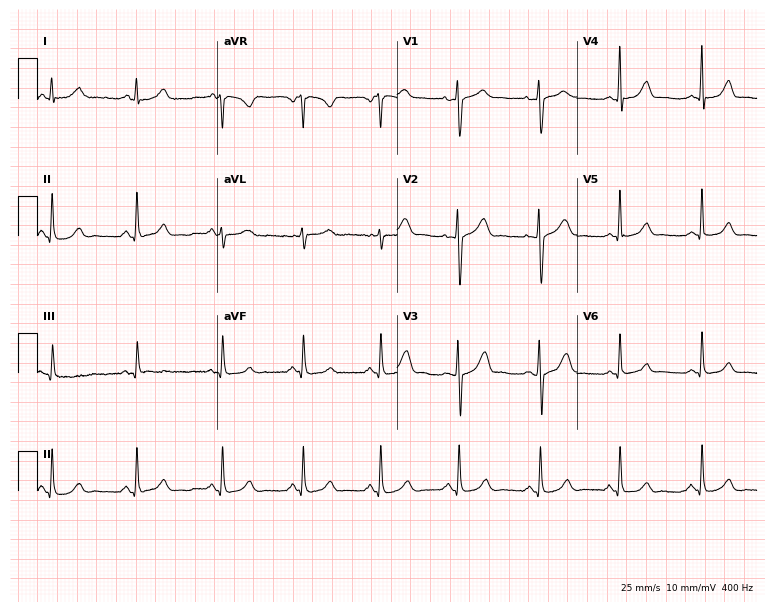
Standard 12-lead ECG recorded from a 34-year-old woman. None of these six findings is recorded: first-degree AV block, right bundle branch block (RBBB), left bundle branch block (LBBB), sinus bradycardia, atrial fibrillation (AF), sinus tachycardia. Findings outside these six are not listed.